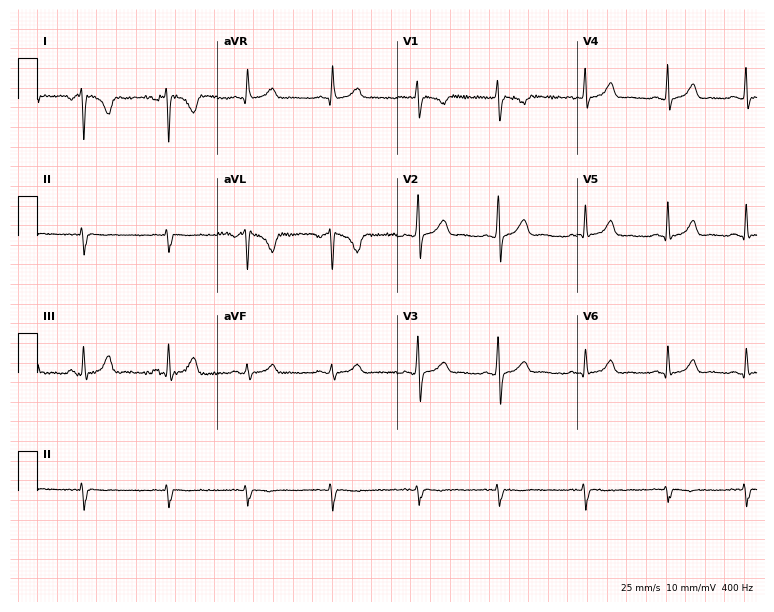
Resting 12-lead electrocardiogram (7.3-second recording at 400 Hz). Patient: a 29-year-old woman. None of these six findings is recorded: first-degree AV block, right bundle branch block, left bundle branch block, sinus bradycardia, atrial fibrillation, sinus tachycardia.